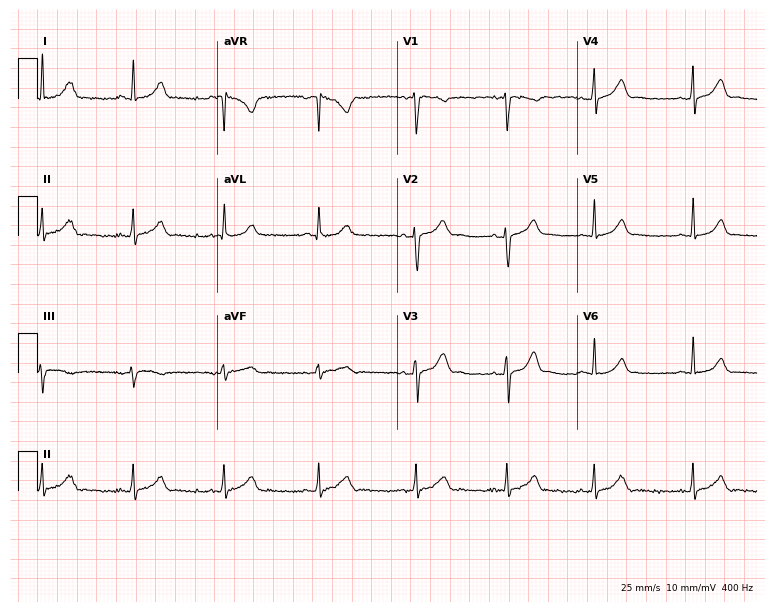
12-lead ECG (7.3-second recording at 400 Hz) from a female, 36 years old. Labelled as a normal ECG.